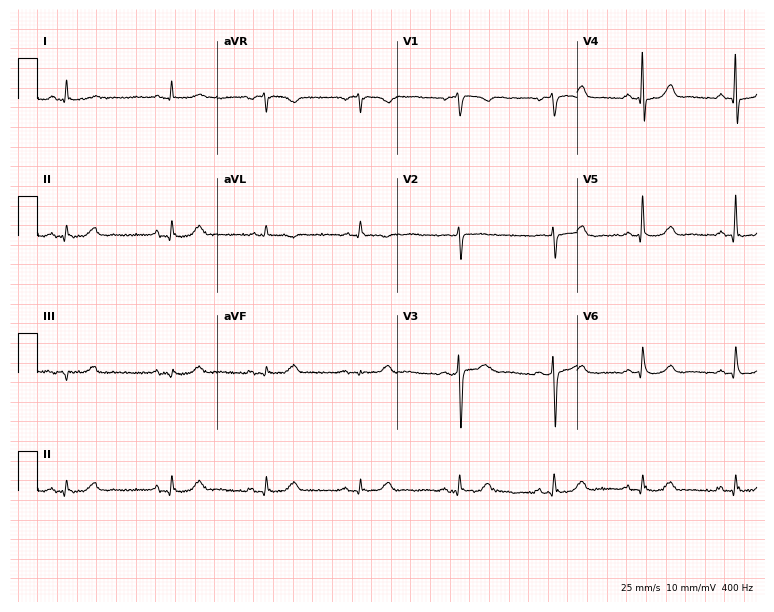
ECG (7.3-second recording at 400 Hz) — a male, 76 years old. Screened for six findings — first-degree AV block, right bundle branch block (RBBB), left bundle branch block (LBBB), sinus bradycardia, atrial fibrillation (AF), sinus tachycardia — none is recorded. Only these six findings were labelled.